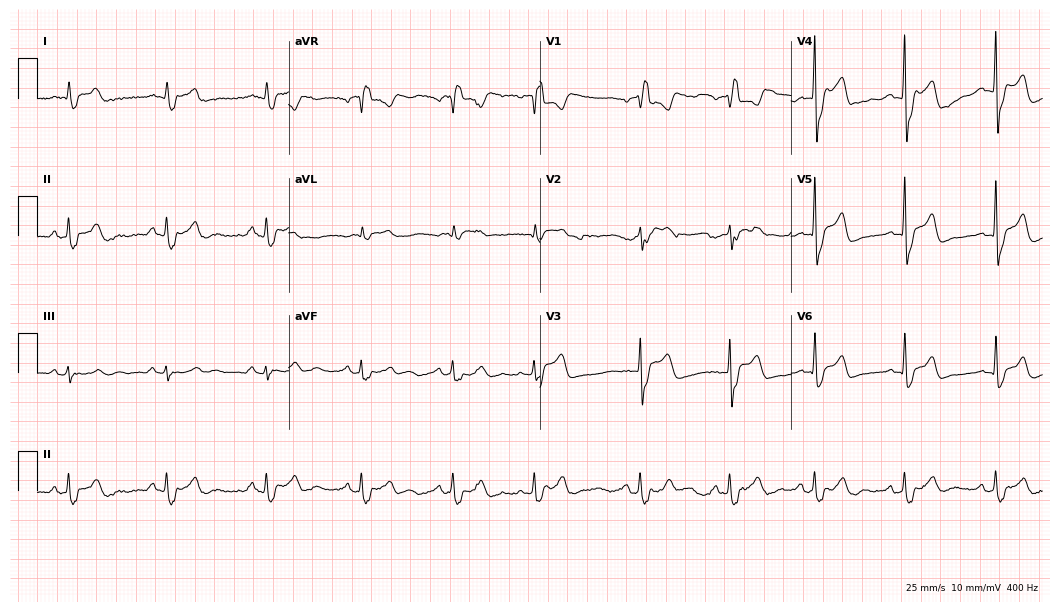
ECG — a 54-year-old male patient. Findings include right bundle branch block (RBBB).